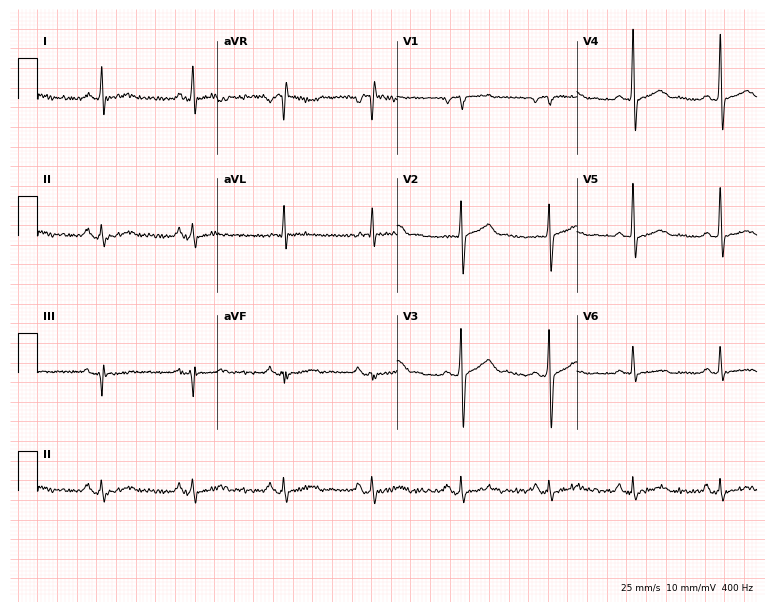
12-lead ECG from a male patient, 65 years old. Recorded interpretation: within normal limits.